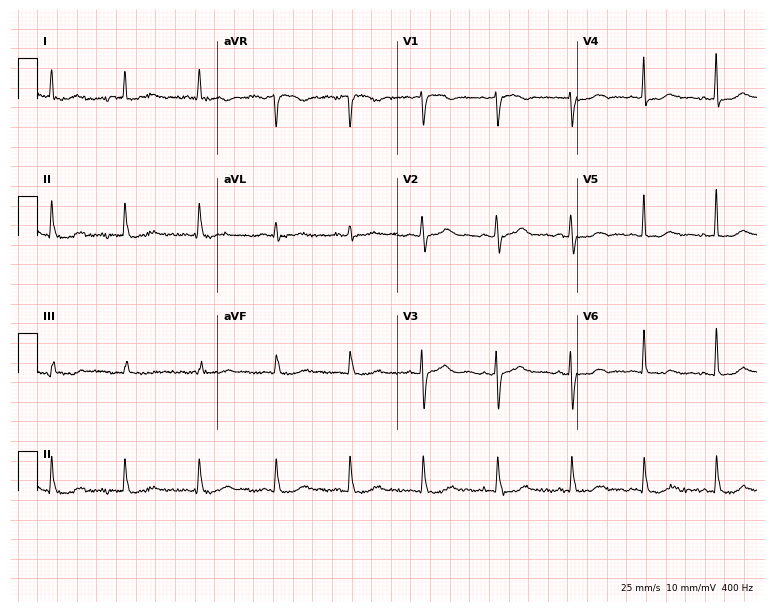
Resting 12-lead electrocardiogram. Patient: a 72-year-old woman. Read as a normal ECG.